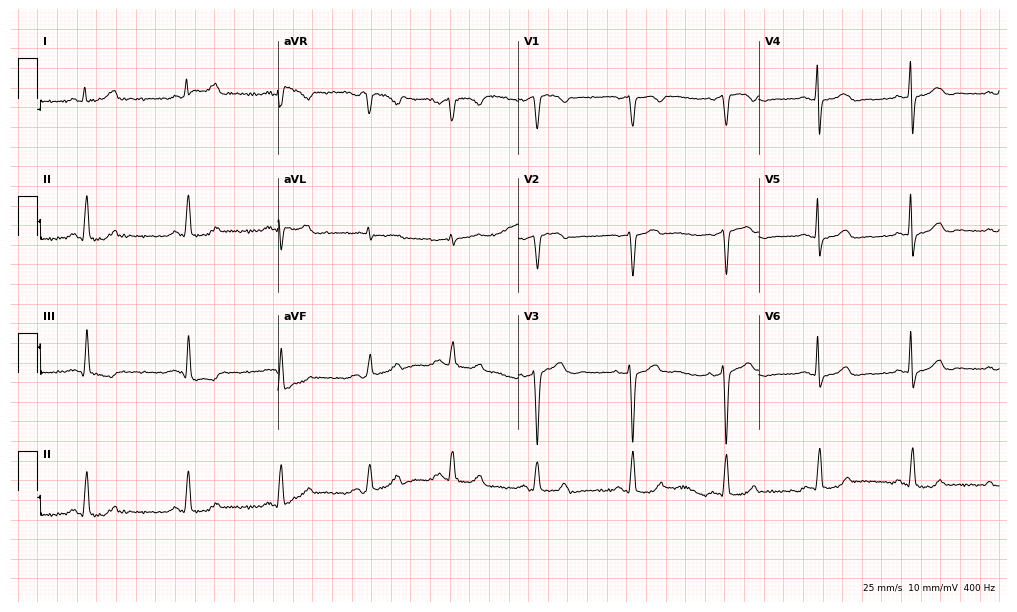
Standard 12-lead ECG recorded from a 48-year-old female patient. None of these six findings is recorded: first-degree AV block, right bundle branch block, left bundle branch block, sinus bradycardia, atrial fibrillation, sinus tachycardia.